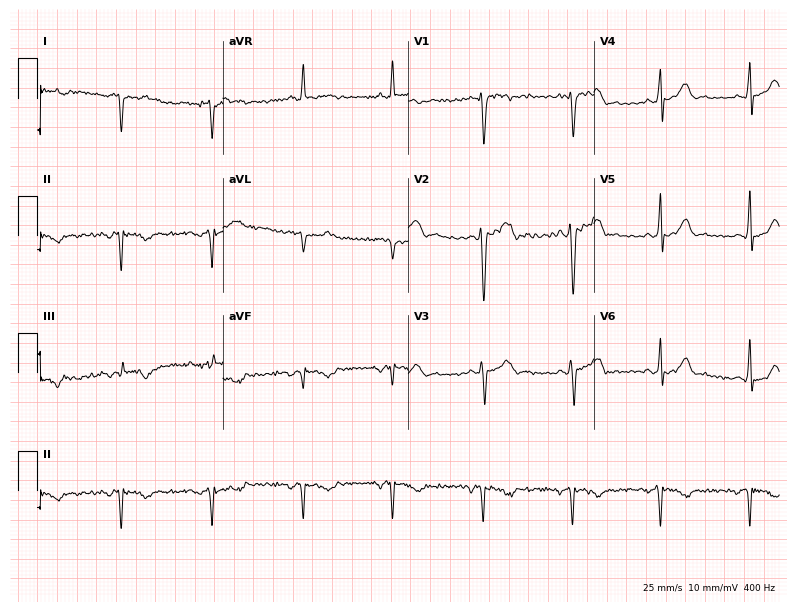
Electrocardiogram (7.6-second recording at 400 Hz), a 40-year-old male. Of the six screened findings (first-degree AV block, right bundle branch block, left bundle branch block, sinus bradycardia, atrial fibrillation, sinus tachycardia), none is recorded. Only these six findings were labelled.